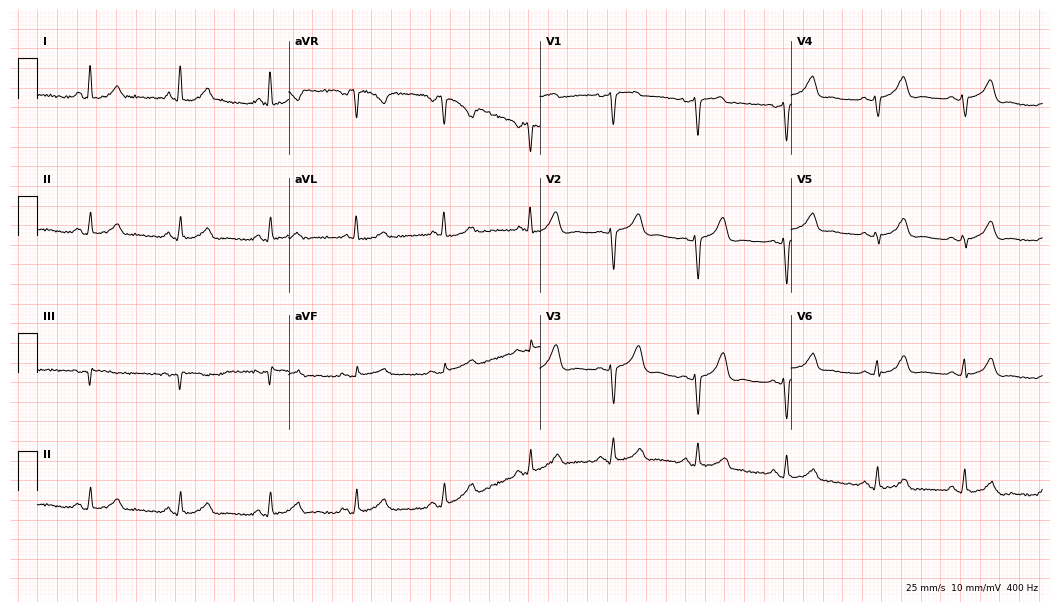
Electrocardiogram (10.2-second recording at 400 Hz), a 37-year-old woman. Overall reading on record: normal ECG.